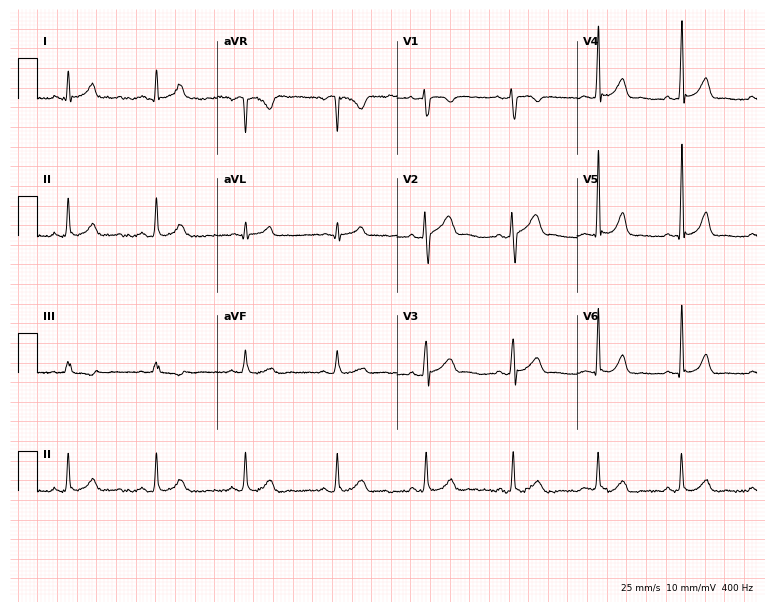
Resting 12-lead electrocardiogram (7.3-second recording at 400 Hz). Patient: a 31-year-old male. Read as a normal ECG.